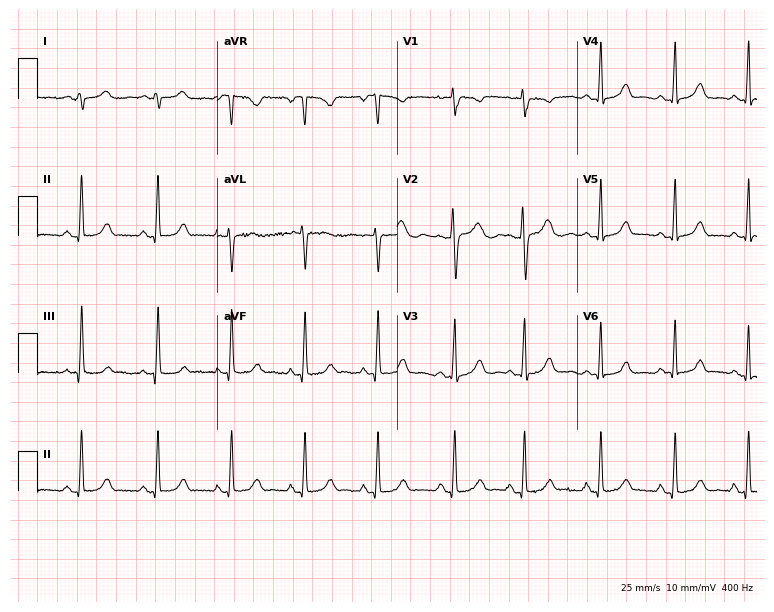
ECG — a female patient, 21 years old. Screened for six findings — first-degree AV block, right bundle branch block (RBBB), left bundle branch block (LBBB), sinus bradycardia, atrial fibrillation (AF), sinus tachycardia — none is recorded.